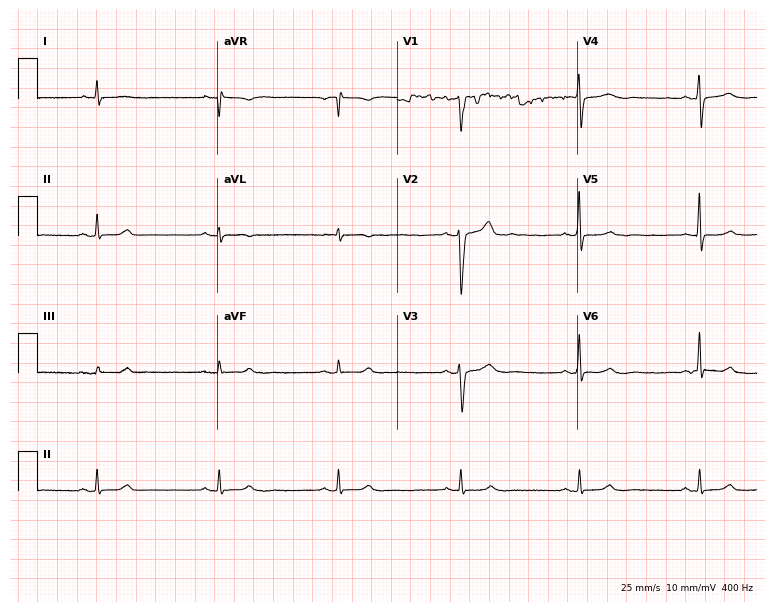
Resting 12-lead electrocardiogram. Patient: a male, 47 years old. None of these six findings is recorded: first-degree AV block, right bundle branch block, left bundle branch block, sinus bradycardia, atrial fibrillation, sinus tachycardia. Other findings, if any, are not listed.